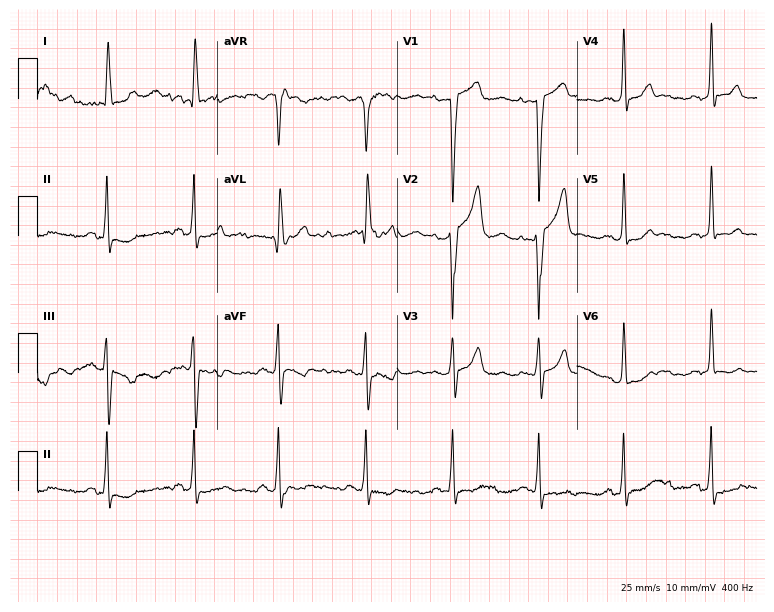
Resting 12-lead electrocardiogram (7.3-second recording at 400 Hz). Patient: a 22-year-old woman. None of these six findings is recorded: first-degree AV block, right bundle branch block (RBBB), left bundle branch block (LBBB), sinus bradycardia, atrial fibrillation (AF), sinus tachycardia.